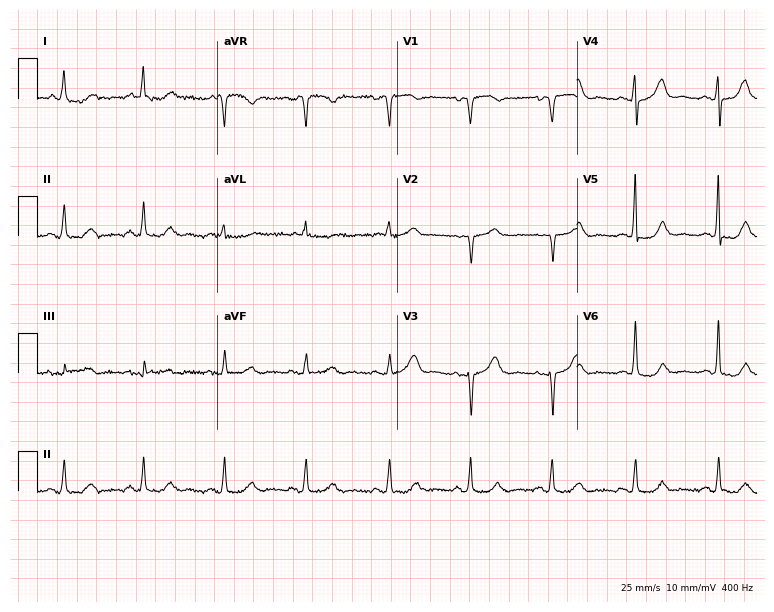
Resting 12-lead electrocardiogram. Patient: a female, 83 years old. None of these six findings is recorded: first-degree AV block, right bundle branch block (RBBB), left bundle branch block (LBBB), sinus bradycardia, atrial fibrillation (AF), sinus tachycardia.